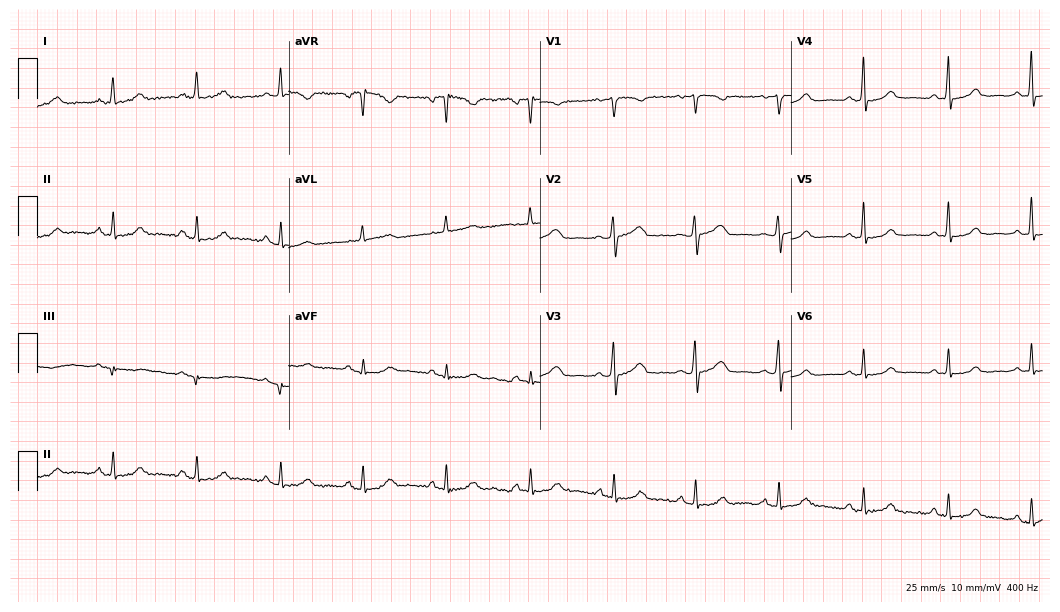
12-lead ECG from a 55-year-old woman (10.2-second recording at 400 Hz). No first-degree AV block, right bundle branch block (RBBB), left bundle branch block (LBBB), sinus bradycardia, atrial fibrillation (AF) or sinus tachycardia recorded for this tracing. Only these six findings were labelled.